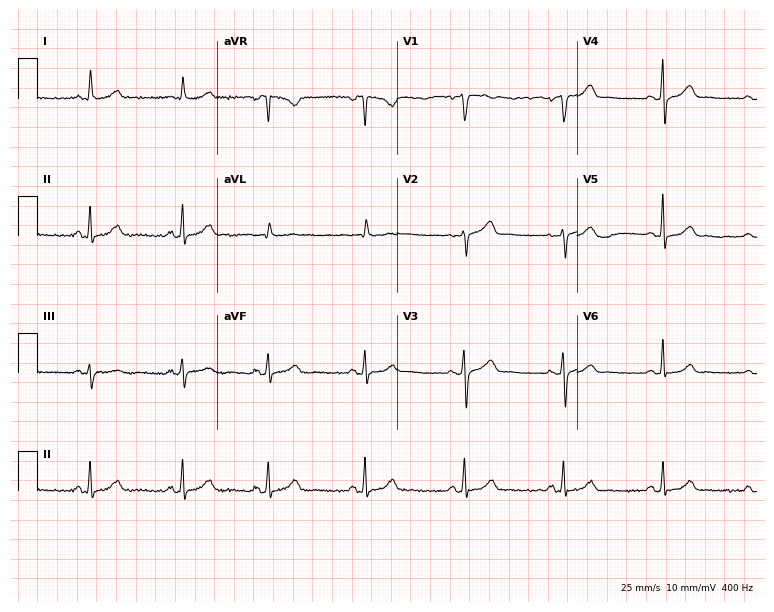
ECG (7.3-second recording at 400 Hz) — a 65-year-old female. Screened for six findings — first-degree AV block, right bundle branch block, left bundle branch block, sinus bradycardia, atrial fibrillation, sinus tachycardia — none is recorded. Other findings, if any, are not listed.